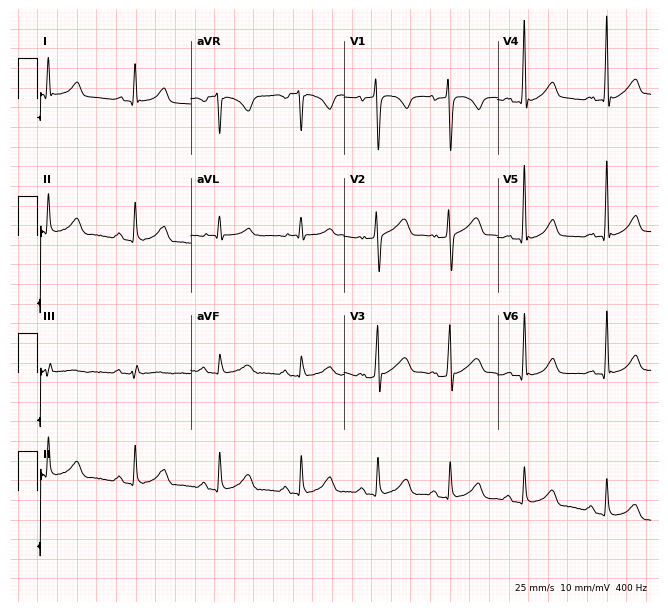
Resting 12-lead electrocardiogram. Patient: a male, 44 years old. None of these six findings is recorded: first-degree AV block, right bundle branch block, left bundle branch block, sinus bradycardia, atrial fibrillation, sinus tachycardia. Other findings, if any, are not listed.